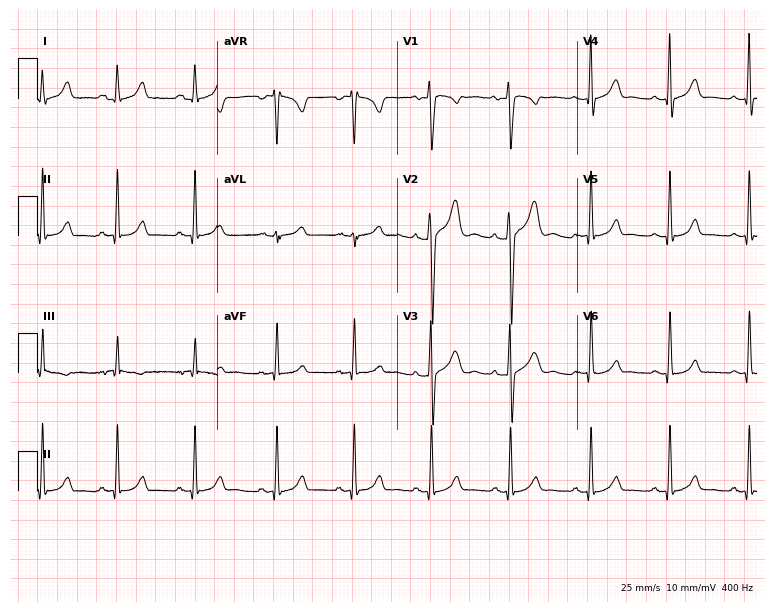
12-lead ECG from a female, 19 years old. Recorded interpretation: within normal limits.